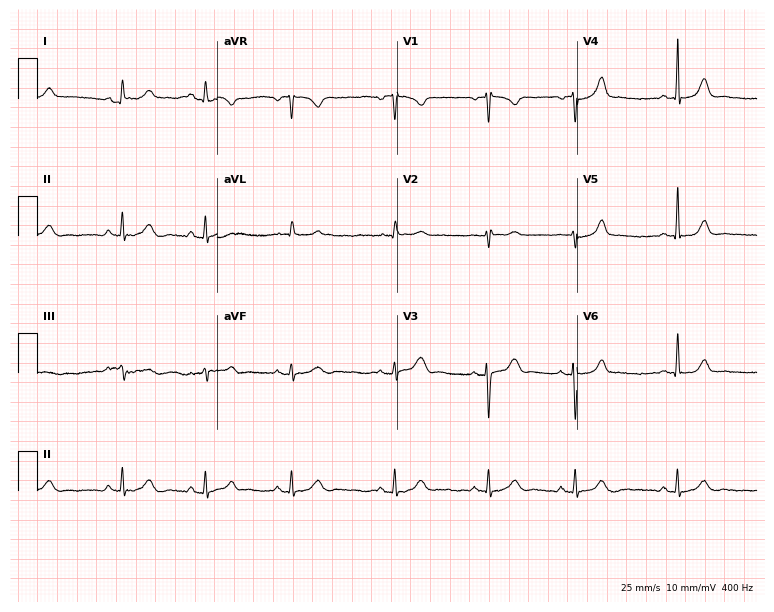
12-lead ECG from a 20-year-old female. Recorded interpretation: within normal limits.